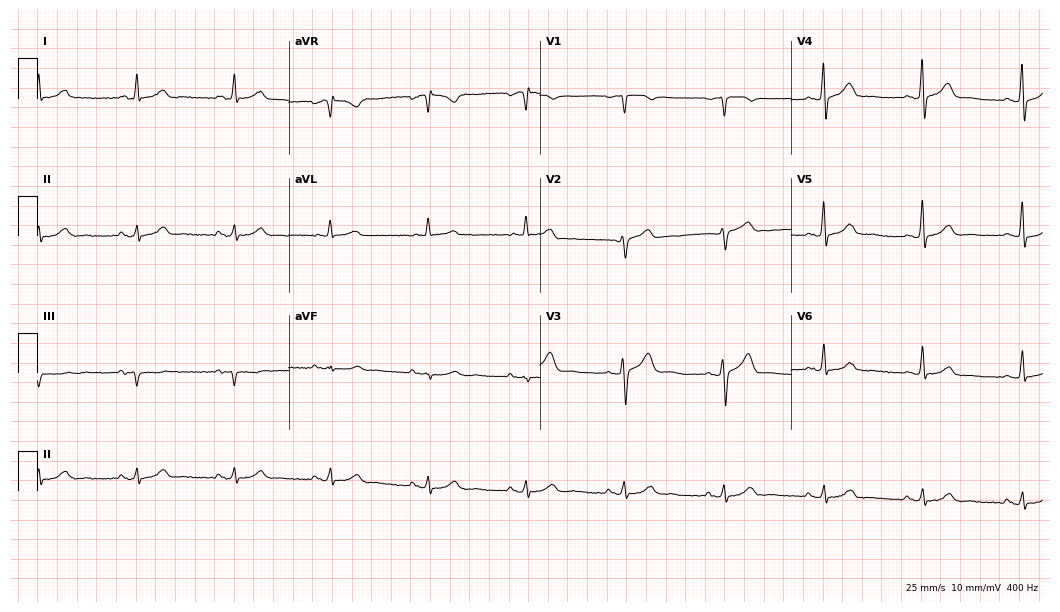
Resting 12-lead electrocardiogram. Patient: a 75-year-old male. Read as a normal ECG.